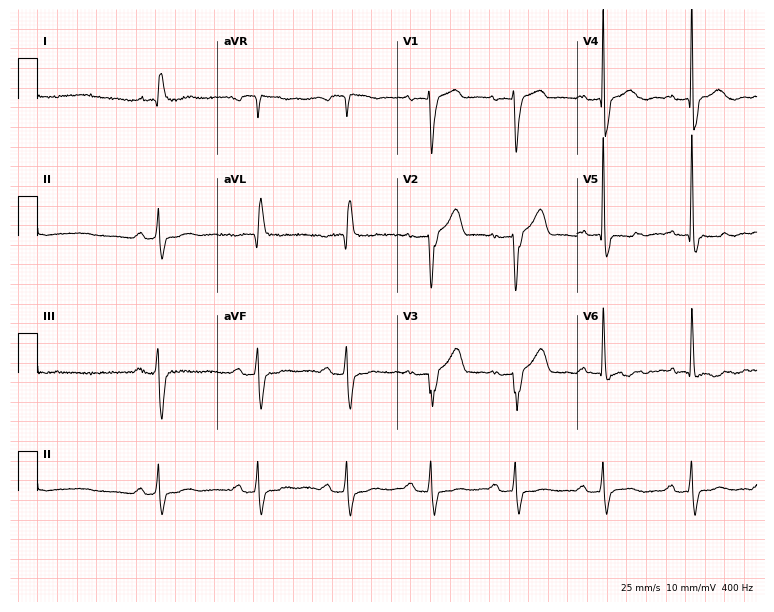
12-lead ECG from a 79-year-old man (7.3-second recording at 400 Hz). No first-degree AV block, right bundle branch block (RBBB), left bundle branch block (LBBB), sinus bradycardia, atrial fibrillation (AF) or sinus tachycardia recorded for this tracing.